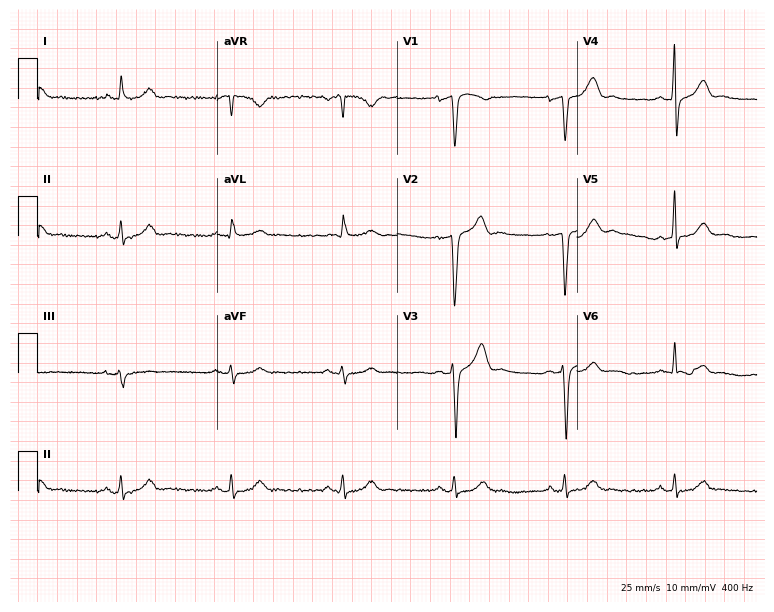
Resting 12-lead electrocardiogram. Patient: a 60-year-old man. Read as a normal ECG.